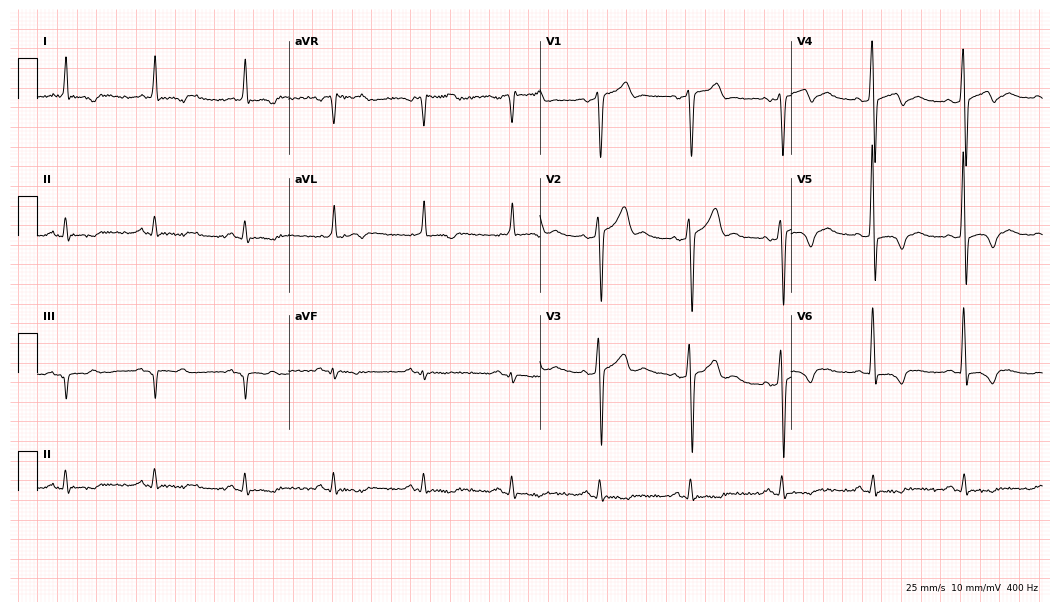
Resting 12-lead electrocardiogram (10.2-second recording at 400 Hz). Patient: a male, 68 years old. None of these six findings is recorded: first-degree AV block, right bundle branch block, left bundle branch block, sinus bradycardia, atrial fibrillation, sinus tachycardia.